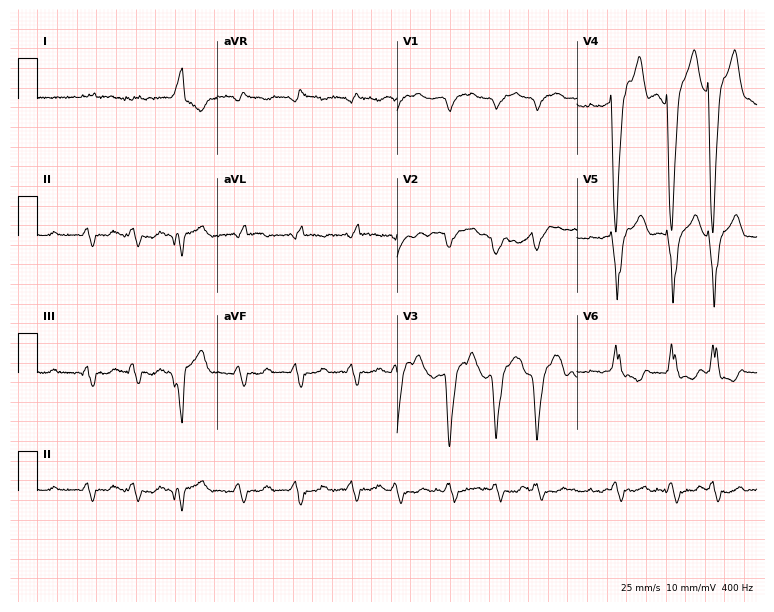
Resting 12-lead electrocardiogram (7.3-second recording at 400 Hz). Patient: a 79-year-old male. The tracing shows left bundle branch block, atrial fibrillation.